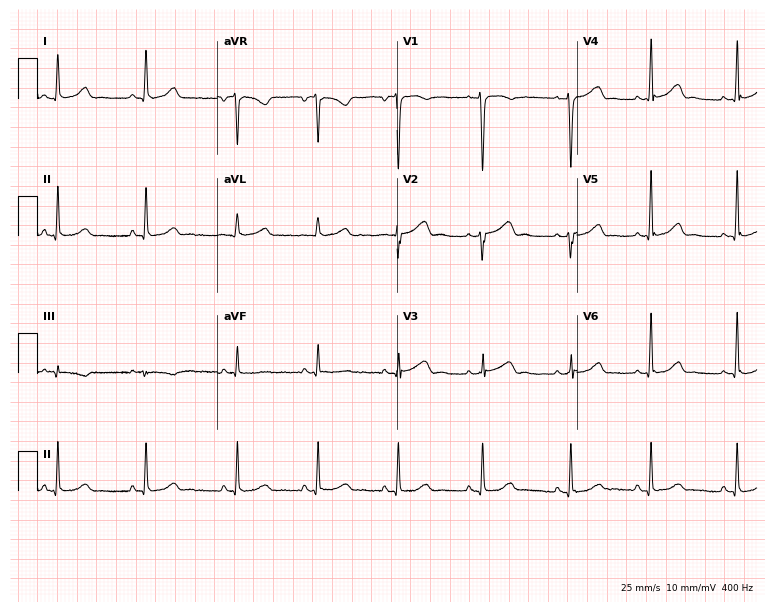
ECG (7.3-second recording at 400 Hz) — a female patient, 44 years old. Labelled as a normal ECG.